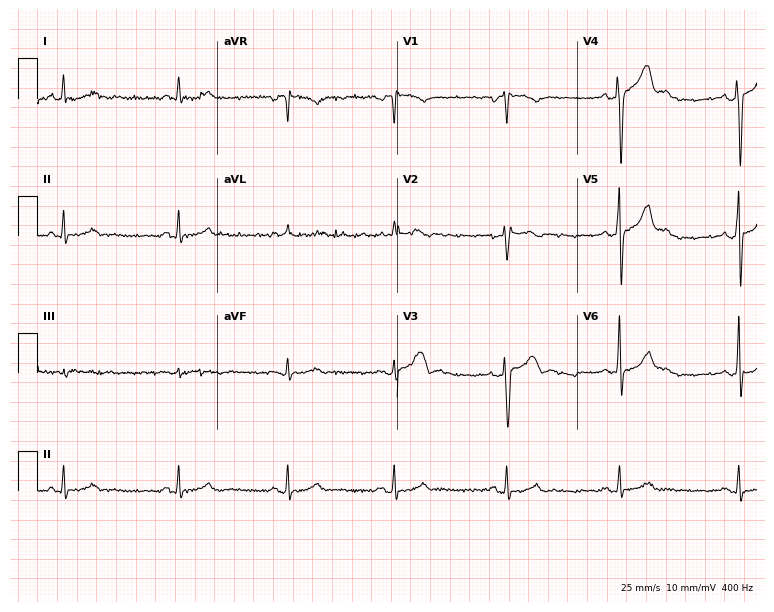
12-lead ECG (7.3-second recording at 400 Hz) from a male, 63 years old. Labelled as a normal ECG.